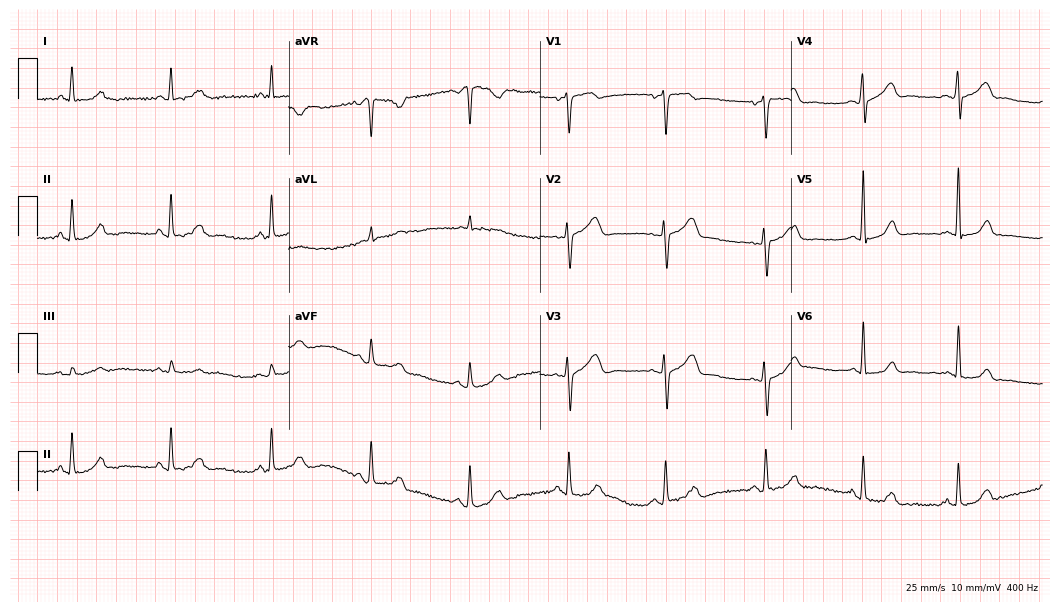
Electrocardiogram (10.2-second recording at 400 Hz), a female, 63 years old. Overall reading on record: normal ECG.